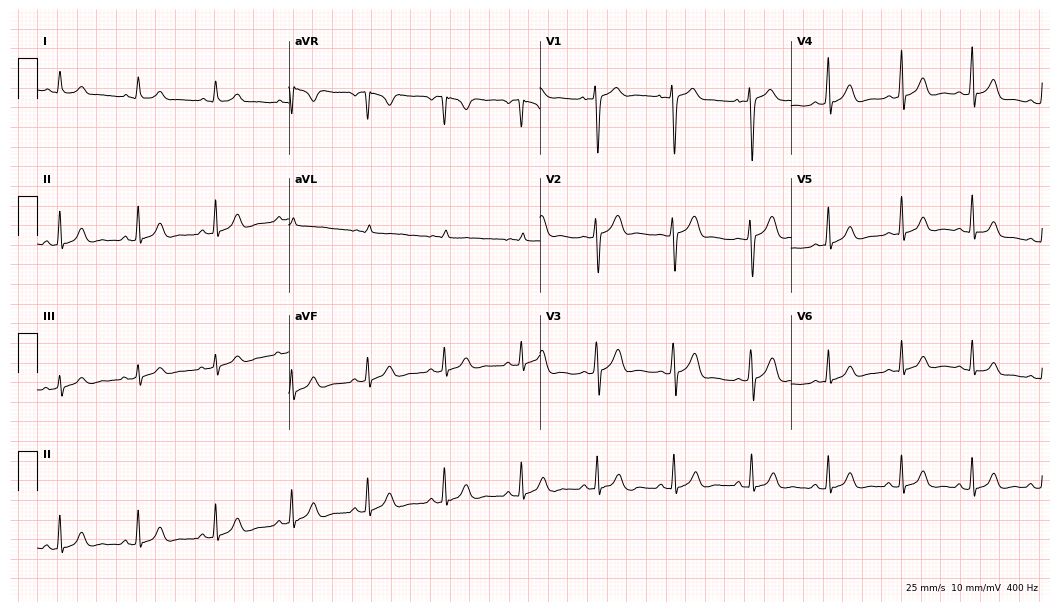
Electrocardiogram (10.2-second recording at 400 Hz), a male patient, 20 years old. Overall reading on record: normal ECG.